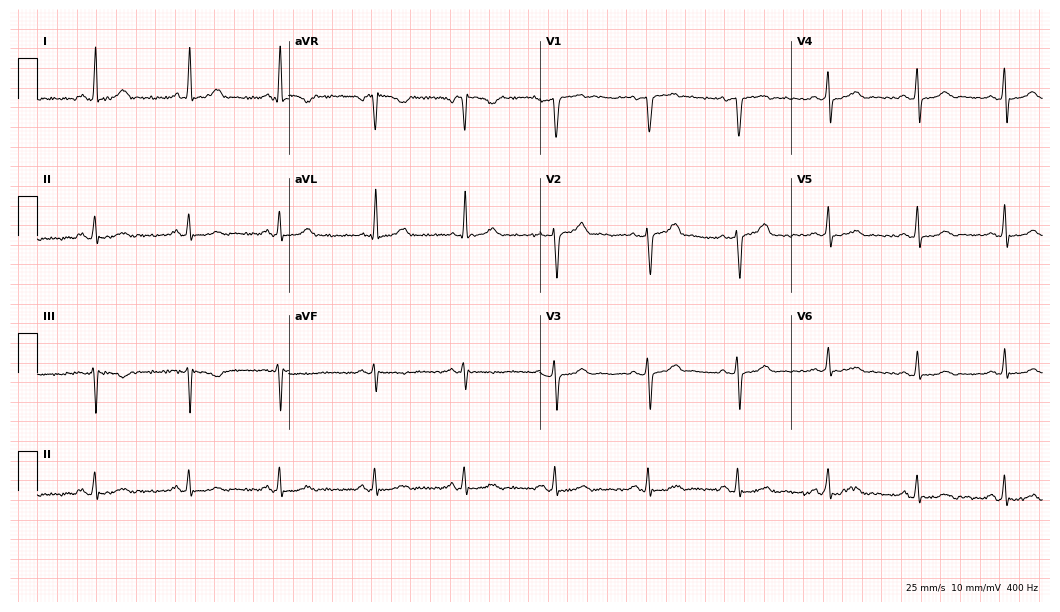
12-lead ECG from a 38-year-old female patient. No first-degree AV block, right bundle branch block, left bundle branch block, sinus bradycardia, atrial fibrillation or sinus tachycardia recorded for this tracing. Findings outside these six are not listed.